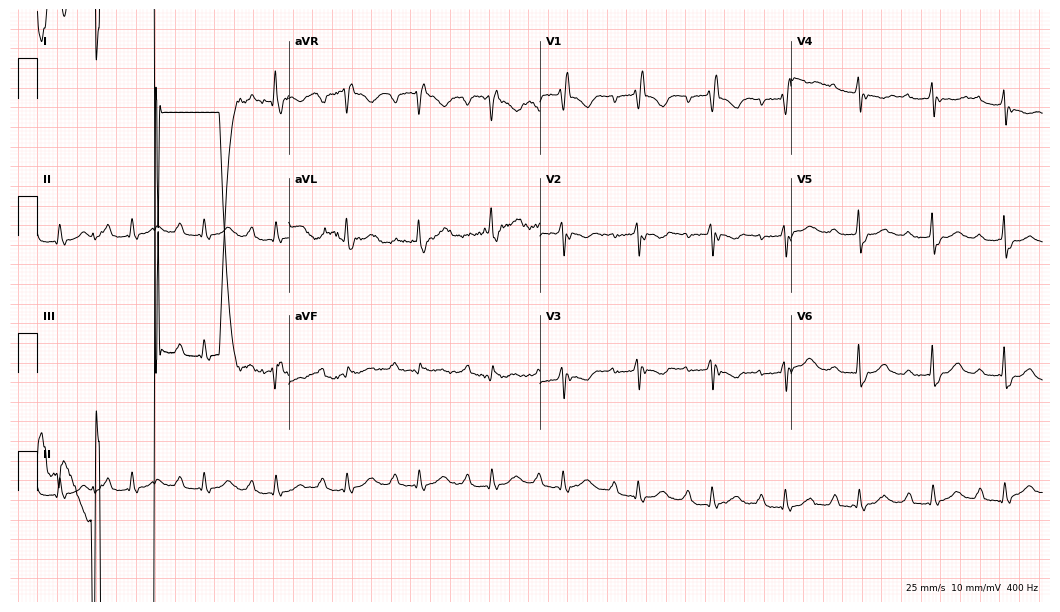
ECG — a 66-year-old female. Screened for six findings — first-degree AV block, right bundle branch block (RBBB), left bundle branch block (LBBB), sinus bradycardia, atrial fibrillation (AF), sinus tachycardia — none is recorded.